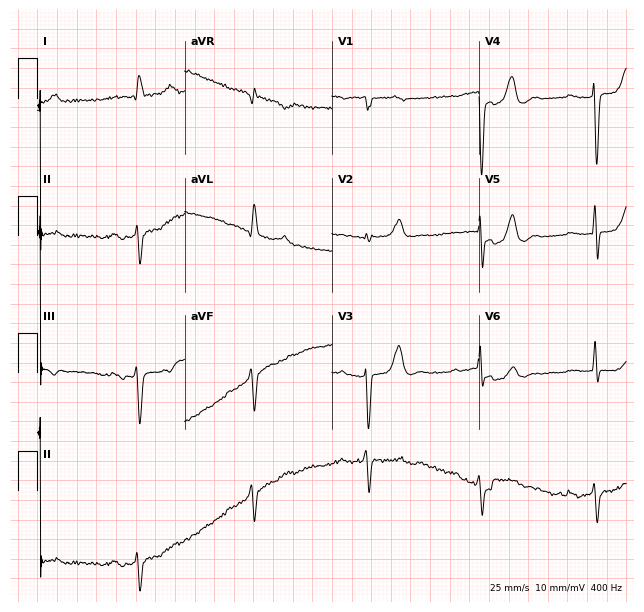
Resting 12-lead electrocardiogram. Patient: an 86-year-old male. None of these six findings is recorded: first-degree AV block, right bundle branch block, left bundle branch block, sinus bradycardia, atrial fibrillation, sinus tachycardia. Other findings, if any, are not listed.